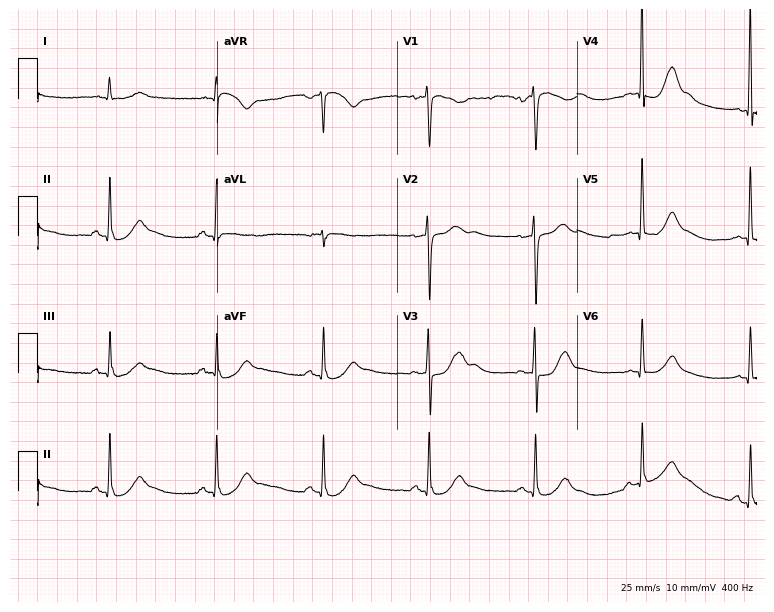
Standard 12-lead ECG recorded from a male, 78 years old. None of these six findings is recorded: first-degree AV block, right bundle branch block (RBBB), left bundle branch block (LBBB), sinus bradycardia, atrial fibrillation (AF), sinus tachycardia.